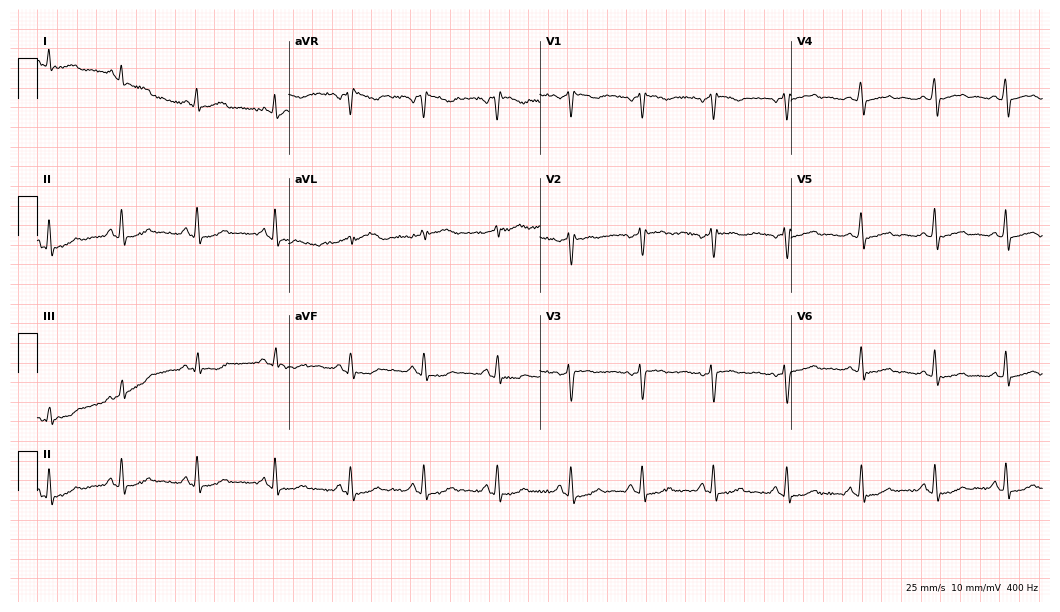
12-lead ECG from a 38-year-old woman. Screened for six findings — first-degree AV block, right bundle branch block (RBBB), left bundle branch block (LBBB), sinus bradycardia, atrial fibrillation (AF), sinus tachycardia — none is recorded. Only these six findings were labelled.